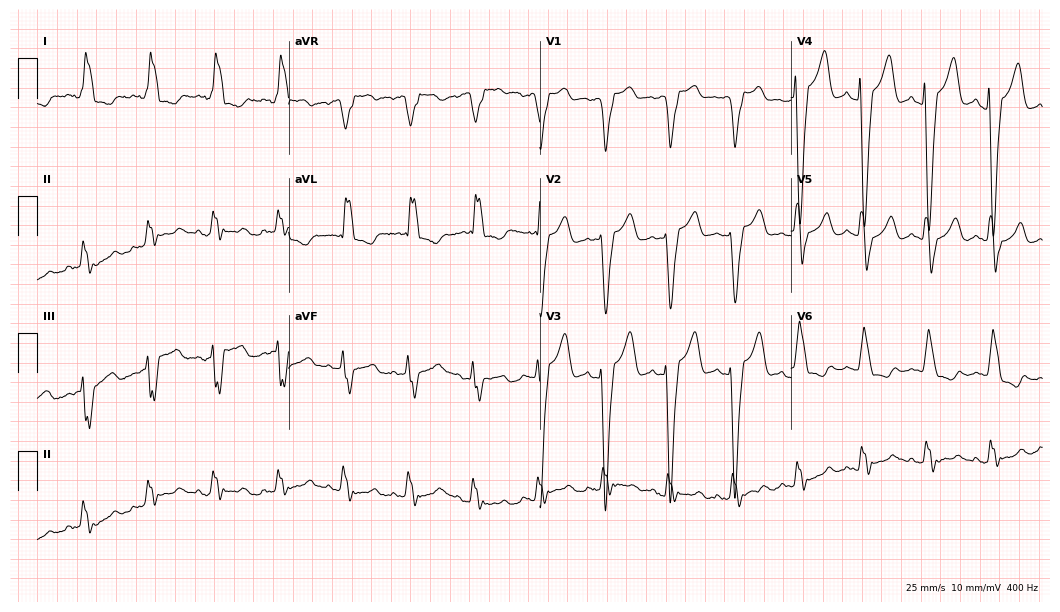
Electrocardiogram (10.2-second recording at 400 Hz), a 73-year-old female patient. Interpretation includes left bundle branch block.